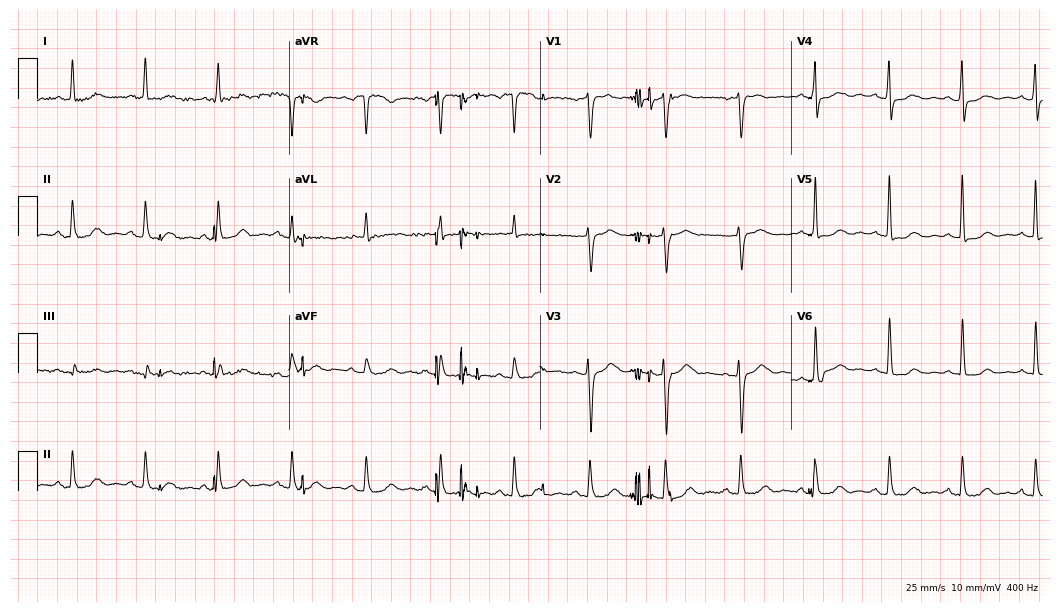
Standard 12-lead ECG recorded from a female patient, 69 years old. None of these six findings is recorded: first-degree AV block, right bundle branch block (RBBB), left bundle branch block (LBBB), sinus bradycardia, atrial fibrillation (AF), sinus tachycardia.